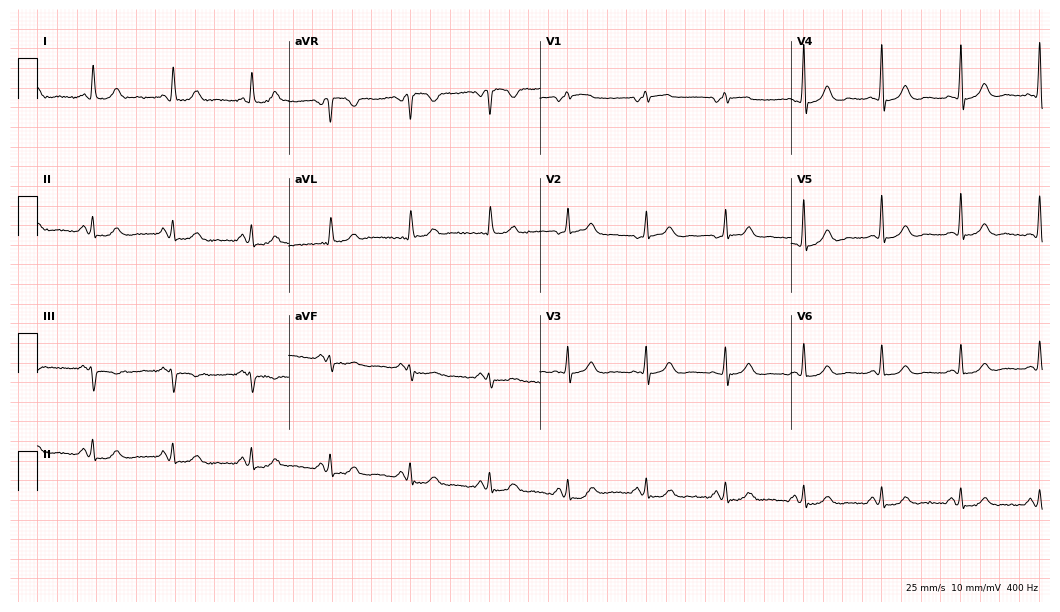
ECG (10.2-second recording at 400 Hz) — a 73-year-old woman. Screened for six findings — first-degree AV block, right bundle branch block (RBBB), left bundle branch block (LBBB), sinus bradycardia, atrial fibrillation (AF), sinus tachycardia — none is recorded.